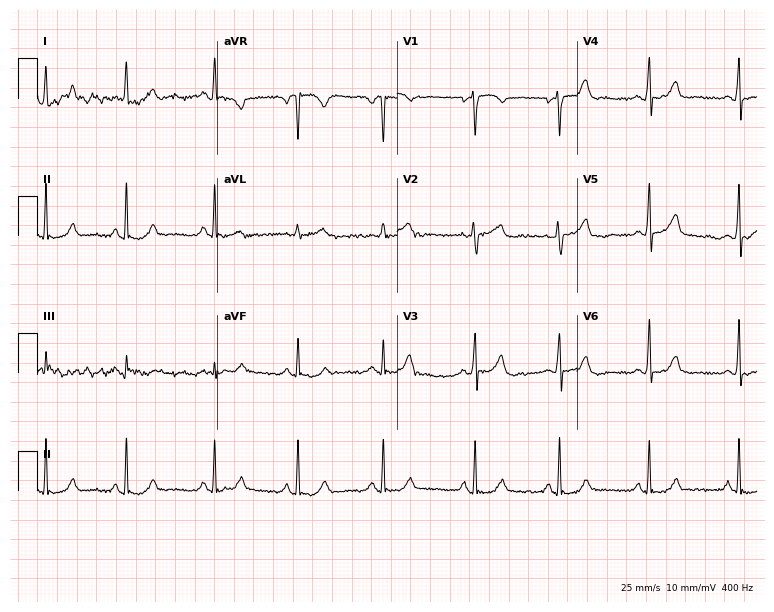
Standard 12-lead ECG recorded from a 39-year-old female. None of these six findings is recorded: first-degree AV block, right bundle branch block (RBBB), left bundle branch block (LBBB), sinus bradycardia, atrial fibrillation (AF), sinus tachycardia. Other findings, if any, are not listed.